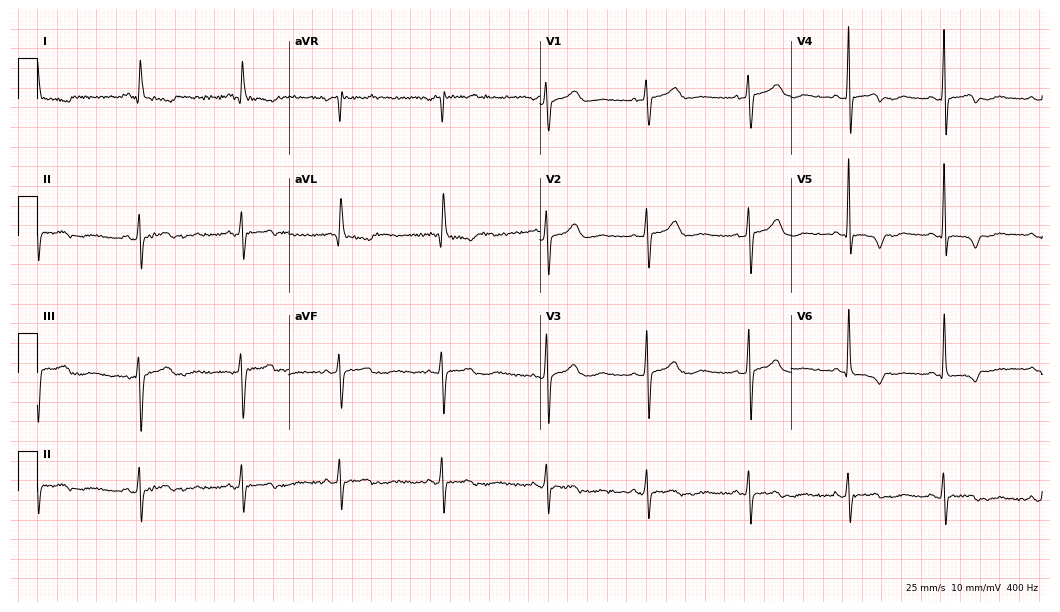
Standard 12-lead ECG recorded from a 65-year-old woman. None of these six findings is recorded: first-degree AV block, right bundle branch block (RBBB), left bundle branch block (LBBB), sinus bradycardia, atrial fibrillation (AF), sinus tachycardia.